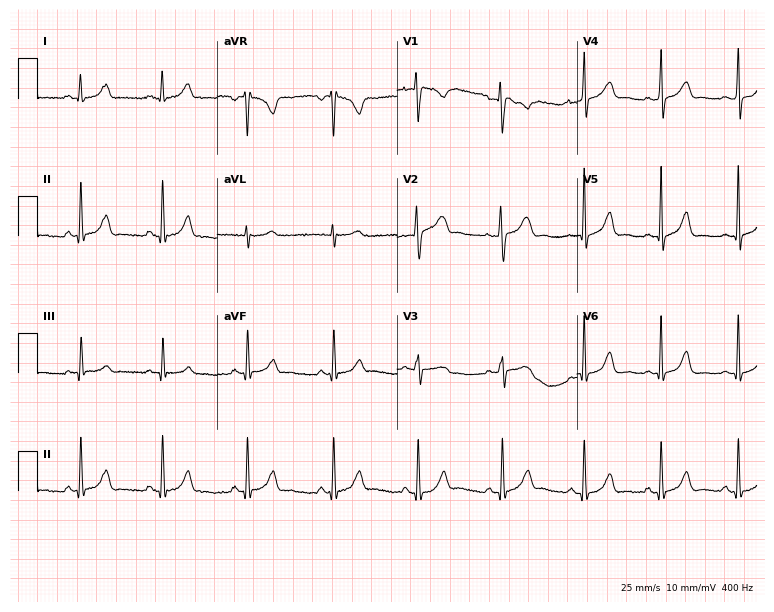
ECG — a woman, 23 years old. Labelled as a normal ECG.